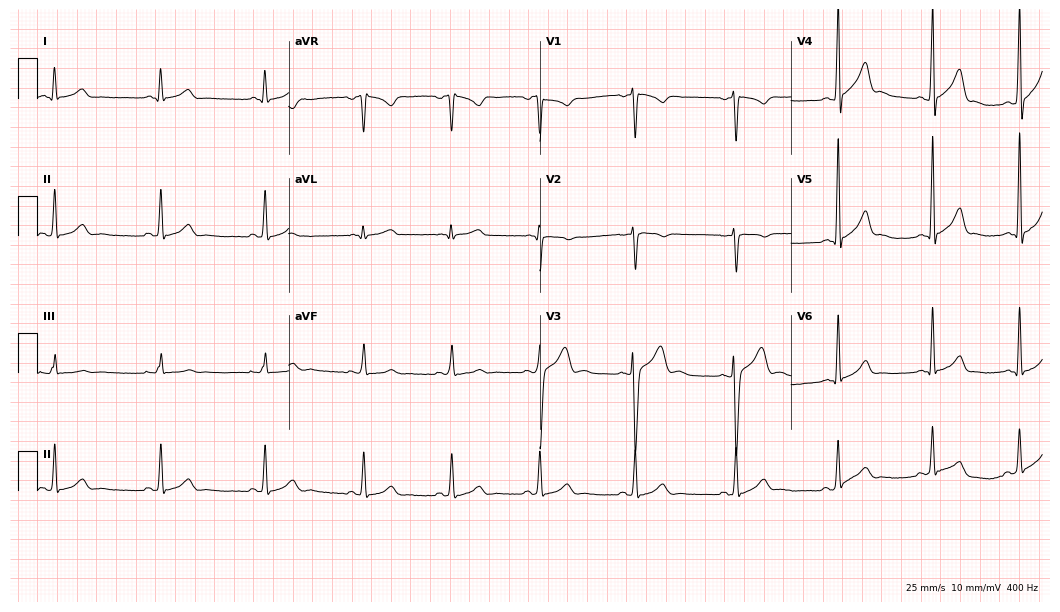
Electrocardiogram (10.2-second recording at 400 Hz), a 22-year-old man. Overall reading on record: normal ECG.